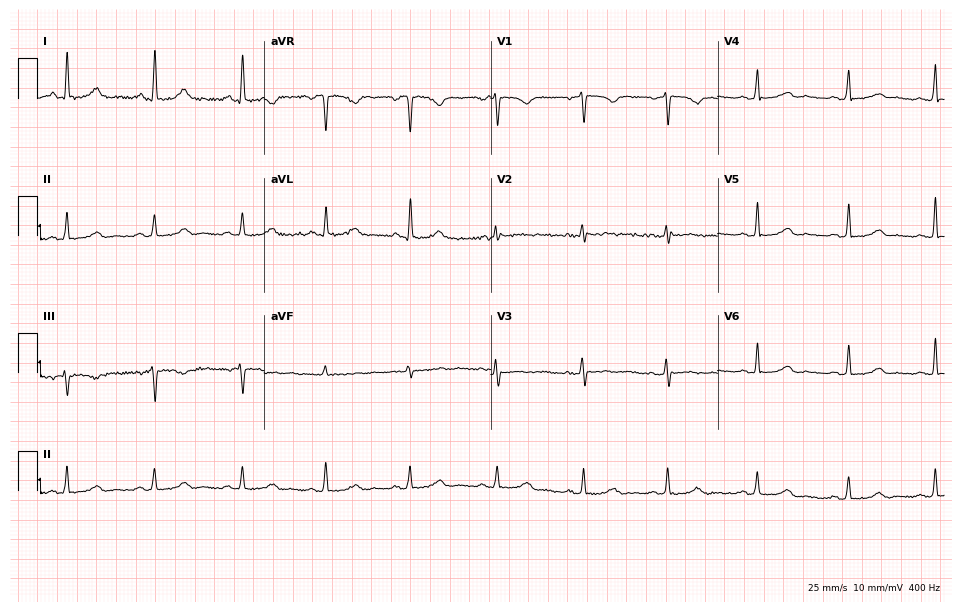
ECG (9.2-second recording at 400 Hz) — a female, 48 years old. Screened for six findings — first-degree AV block, right bundle branch block, left bundle branch block, sinus bradycardia, atrial fibrillation, sinus tachycardia — none is recorded.